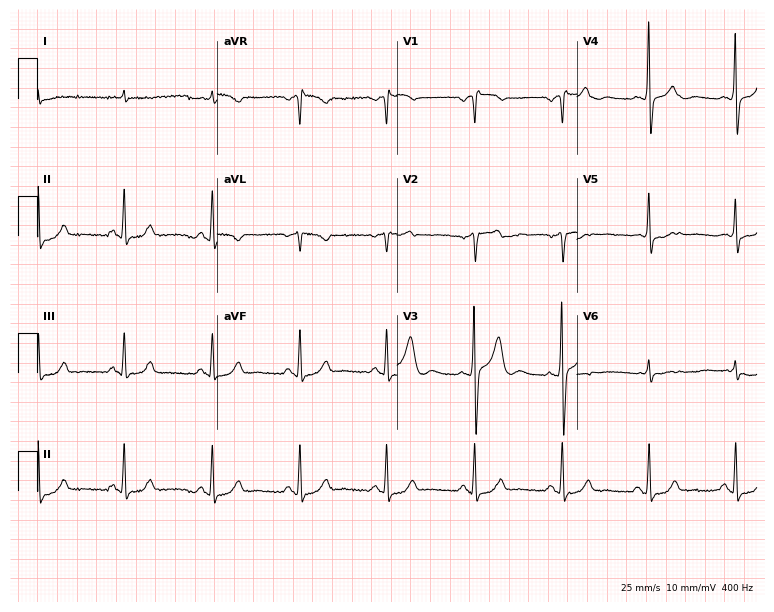
12-lead ECG from a 72-year-old male patient. Screened for six findings — first-degree AV block, right bundle branch block, left bundle branch block, sinus bradycardia, atrial fibrillation, sinus tachycardia — none is recorded. Findings outside these six are not listed.